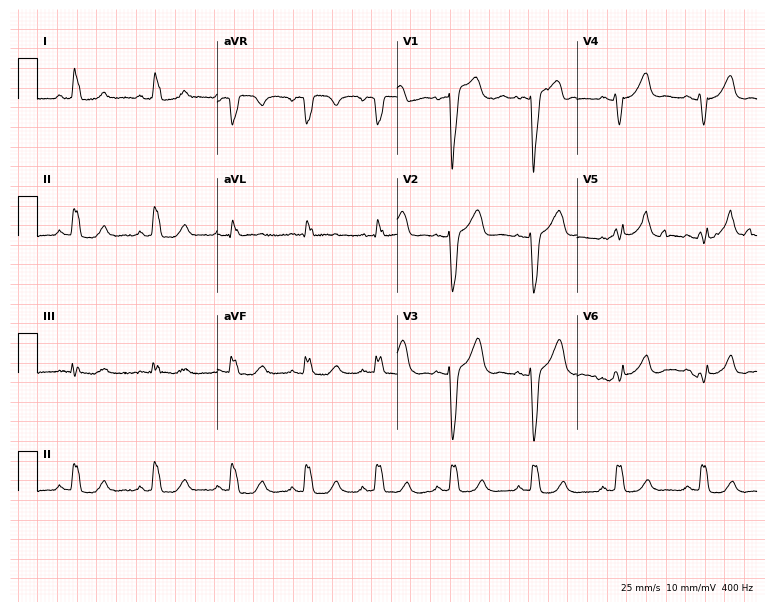
Electrocardiogram (7.3-second recording at 400 Hz), a female patient, 40 years old. Interpretation includes left bundle branch block (LBBB).